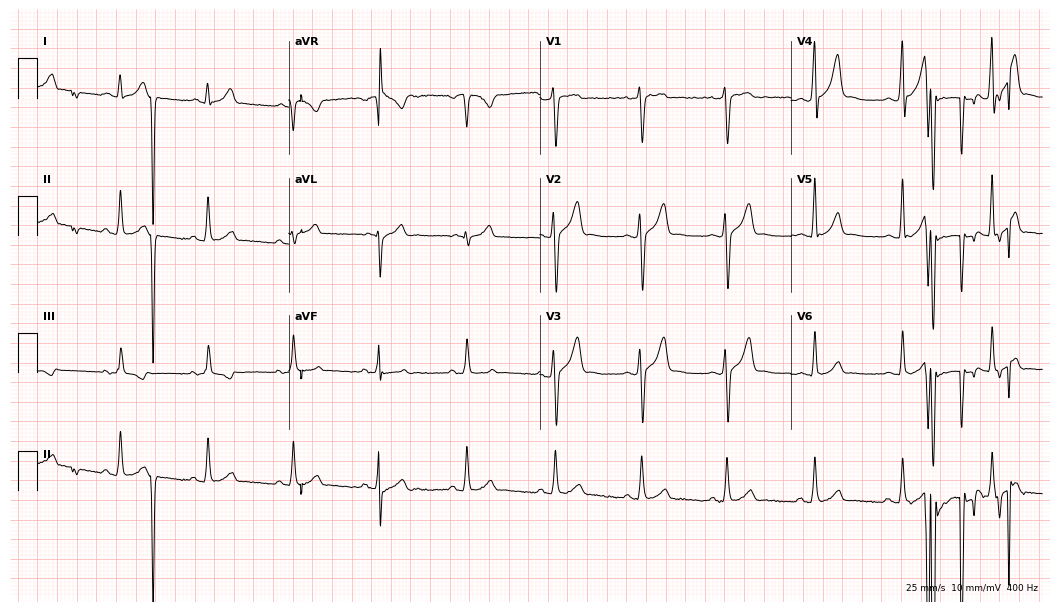
Electrocardiogram, a male, 32 years old. Of the six screened findings (first-degree AV block, right bundle branch block (RBBB), left bundle branch block (LBBB), sinus bradycardia, atrial fibrillation (AF), sinus tachycardia), none is recorded.